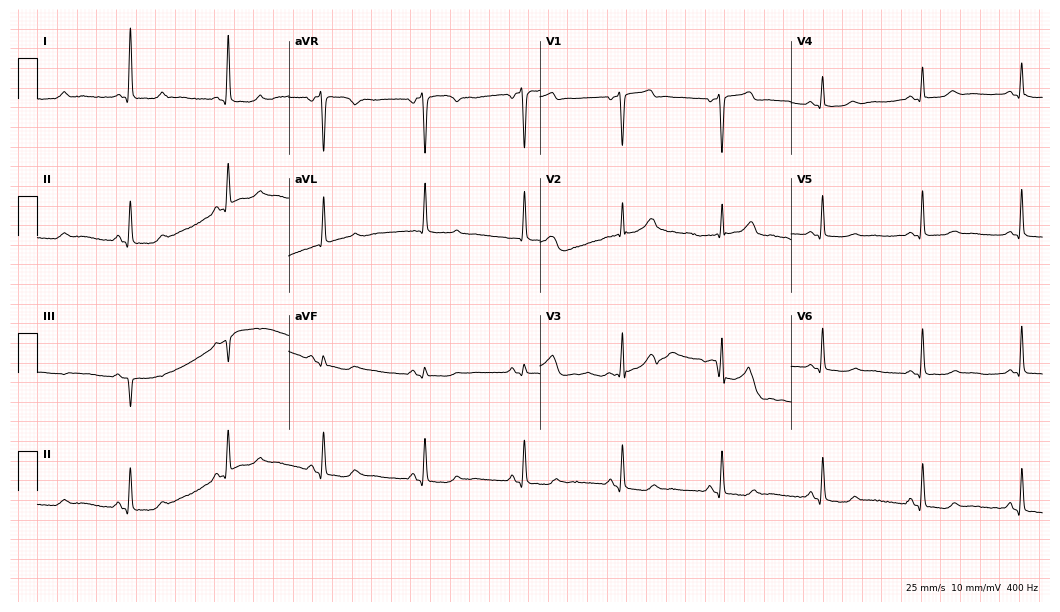
ECG — a 72-year-old female patient. Screened for six findings — first-degree AV block, right bundle branch block, left bundle branch block, sinus bradycardia, atrial fibrillation, sinus tachycardia — none is recorded.